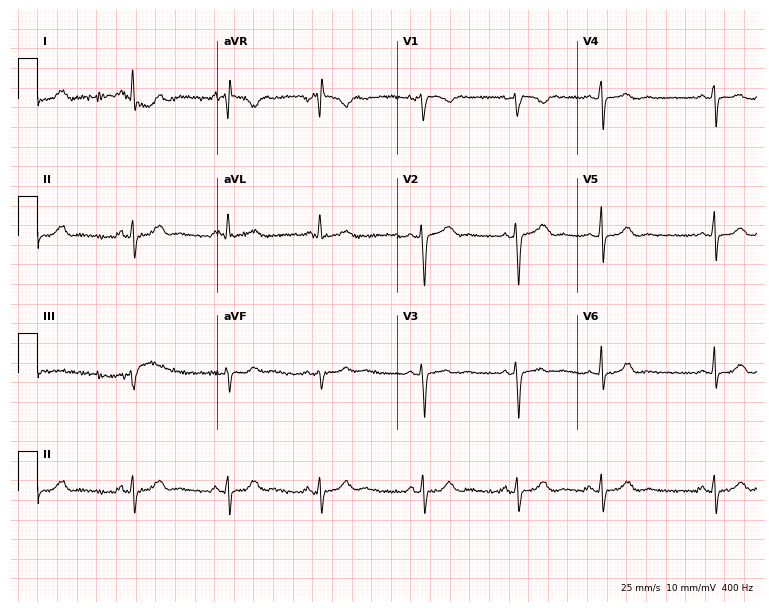
ECG (7.3-second recording at 400 Hz) — a 20-year-old female. Screened for six findings — first-degree AV block, right bundle branch block (RBBB), left bundle branch block (LBBB), sinus bradycardia, atrial fibrillation (AF), sinus tachycardia — none is recorded.